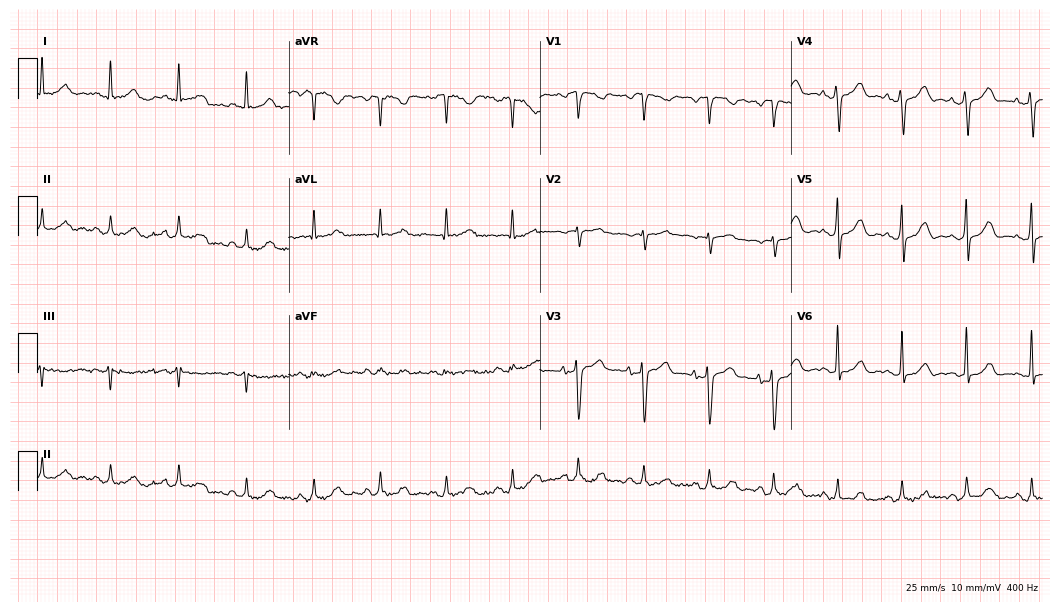
Standard 12-lead ECG recorded from a 72-year-old man. None of these six findings is recorded: first-degree AV block, right bundle branch block, left bundle branch block, sinus bradycardia, atrial fibrillation, sinus tachycardia.